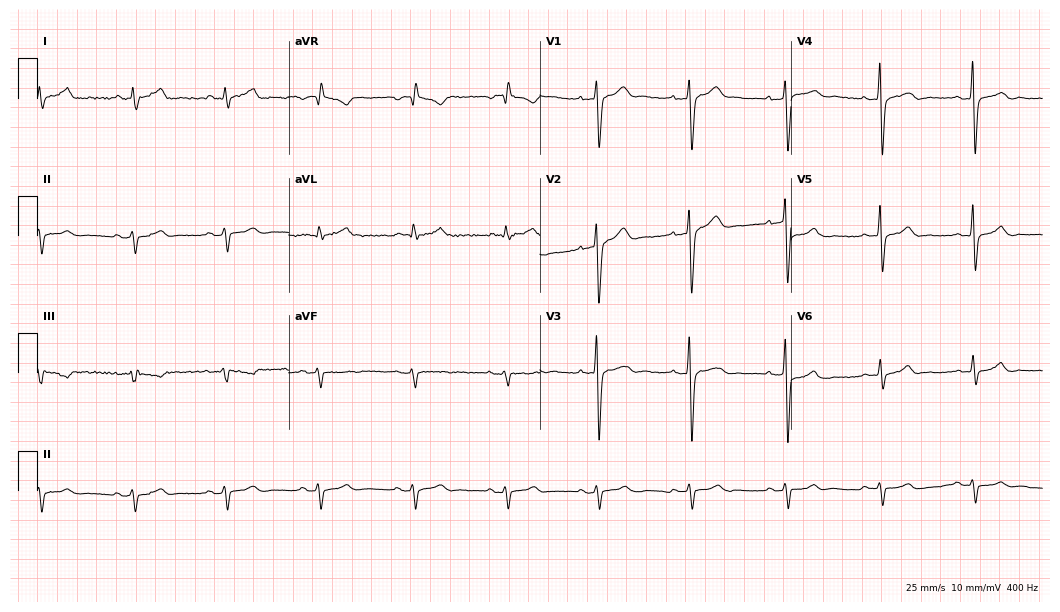
ECG (10.2-second recording at 400 Hz) — a 59-year-old man. Screened for six findings — first-degree AV block, right bundle branch block, left bundle branch block, sinus bradycardia, atrial fibrillation, sinus tachycardia — none is recorded. Findings outside these six are not listed.